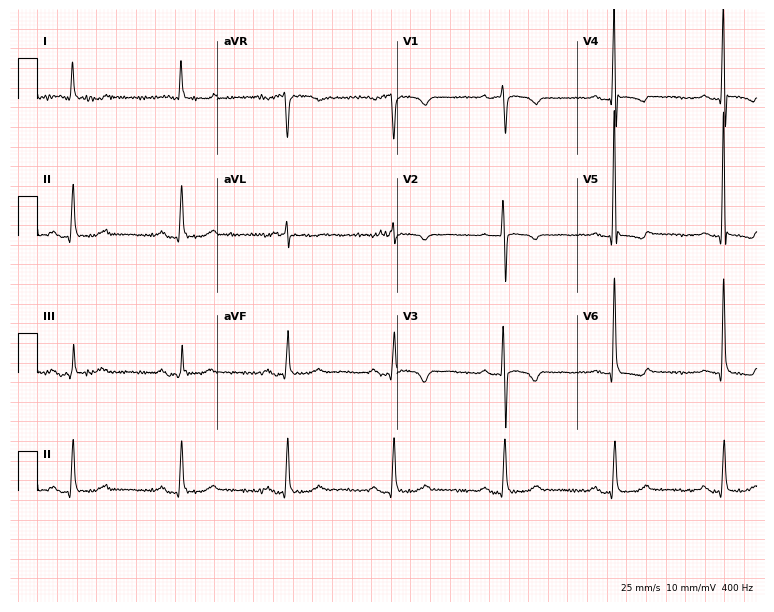
Standard 12-lead ECG recorded from a woman, 78 years old (7.3-second recording at 400 Hz). None of these six findings is recorded: first-degree AV block, right bundle branch block, left bundle branch block, sinus bradycardia, atrial fibrillation, sinus tachycardia.